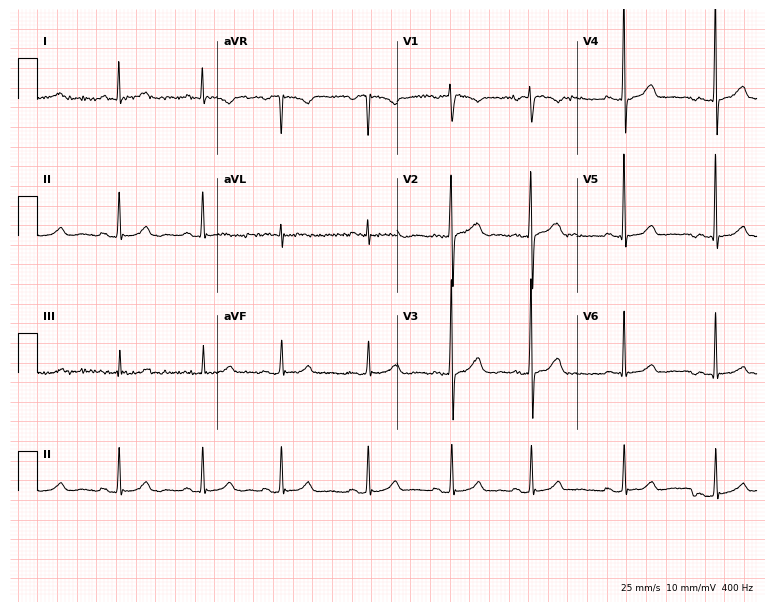
Resting 12-lead electrocardiogram. Patient: a female, 64 years old. None of these six findings is recorded: first-degree AV block, right bundle branch block, left bundle branch block, sinus bradycardia, atrial fibrillation, sinus tachycardia. Other findings, if any, are not listed.